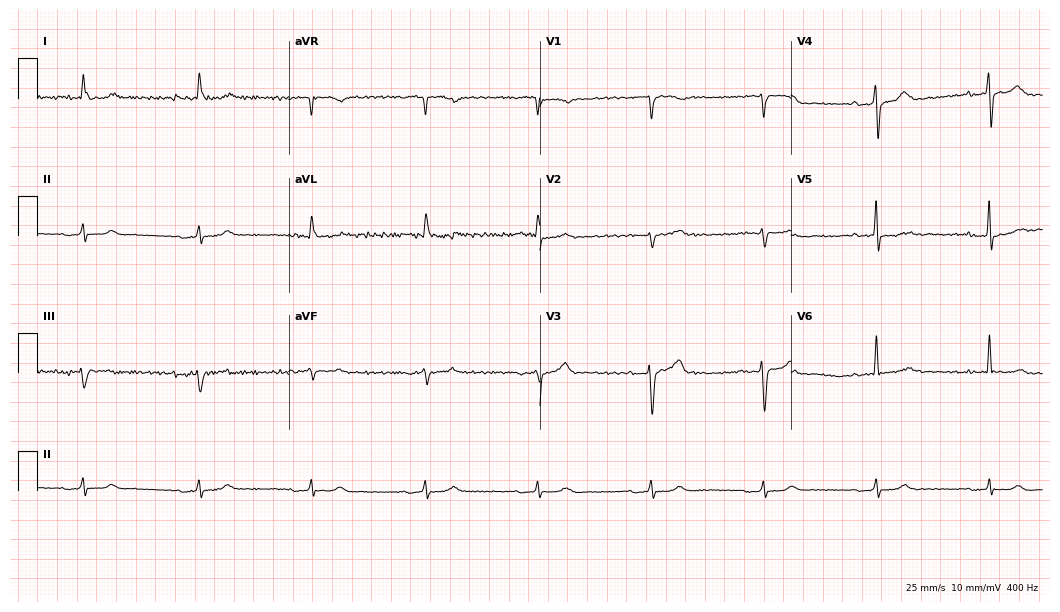
12-lead ECG from a male, 76 years old. No first-degree AV block, right bundle branch block (RBBB), left bundle branch block (LBBB), sinus bradycardia, atrial fibrillation (AF) or sinus tachycardia recorded for this tracing.